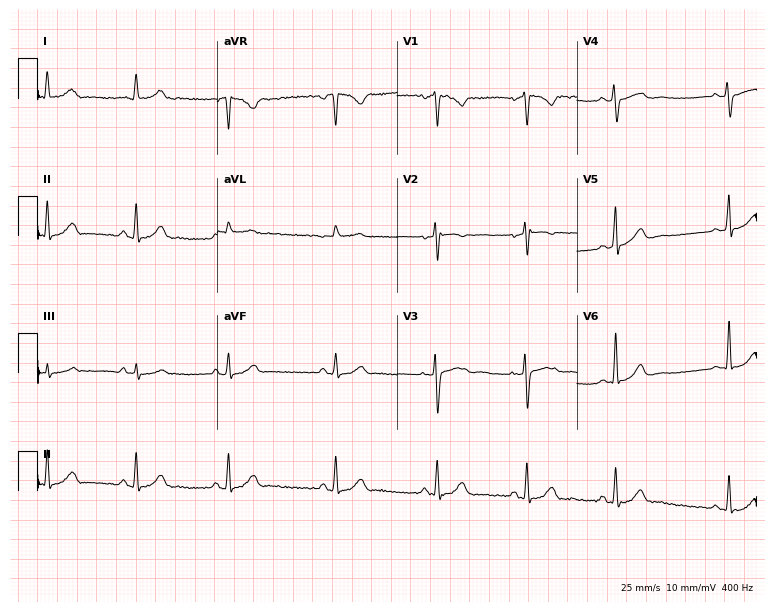
Electrocardiogram, a female patient, 35 years old. Of the six screened findings (first-degree AV block, right bundle branch block, left bundle branch block, sinus bradycardia, atrial fibrillation, sinus tachycardia), none is recorded. Only these six findings were labelled.